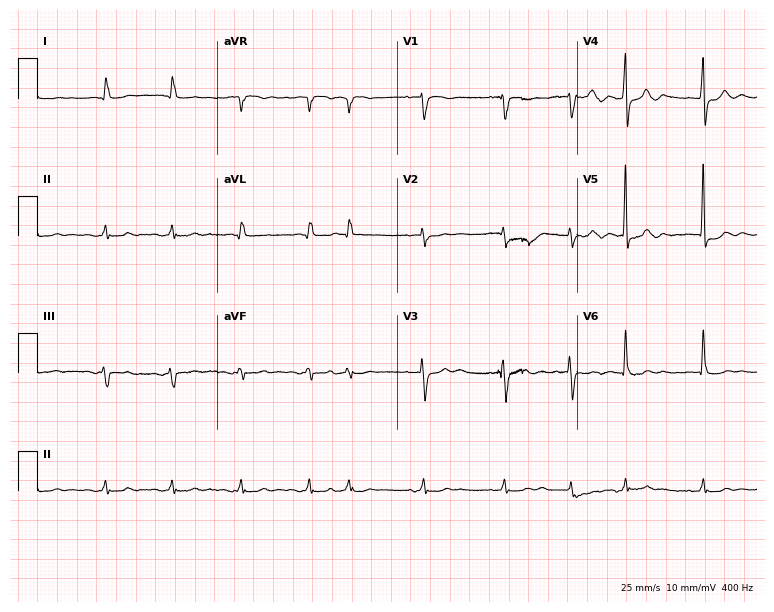
ECG — an 81-year-old male. Findings include atrial fibrillation.